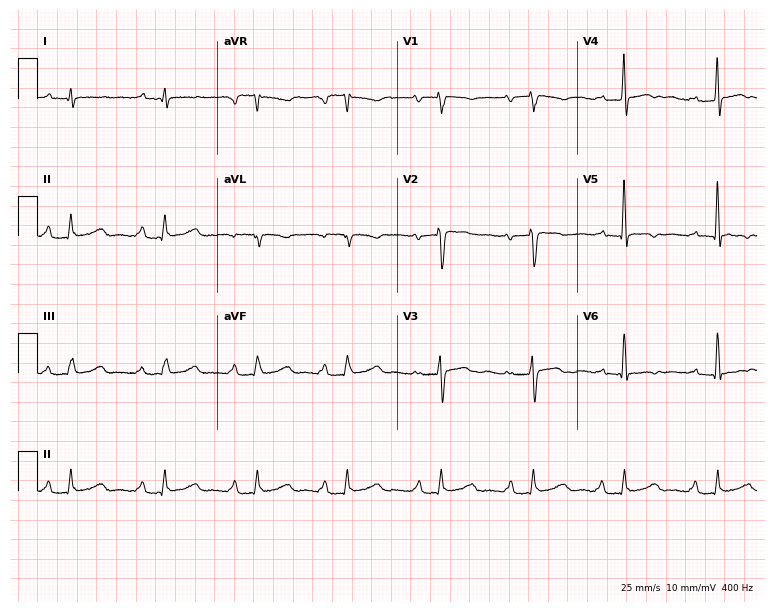
Standard 12-lead ECG recorded from a 41-year-old woman. The tracing shows first-degree AV block.